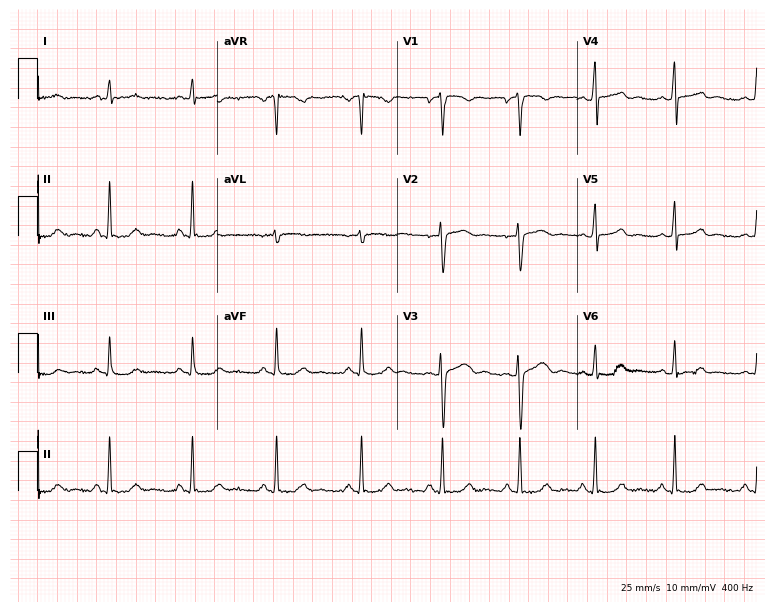
12-lead ECG (7.3-second recording at 400 Hz) from a woman, 27 years old. Screened for six findings — first-degree AV block, right bundle branch block, left bundle branch block, sinus bradycardia, atrial fibrillation, sinus tachycardia — none is recorded.